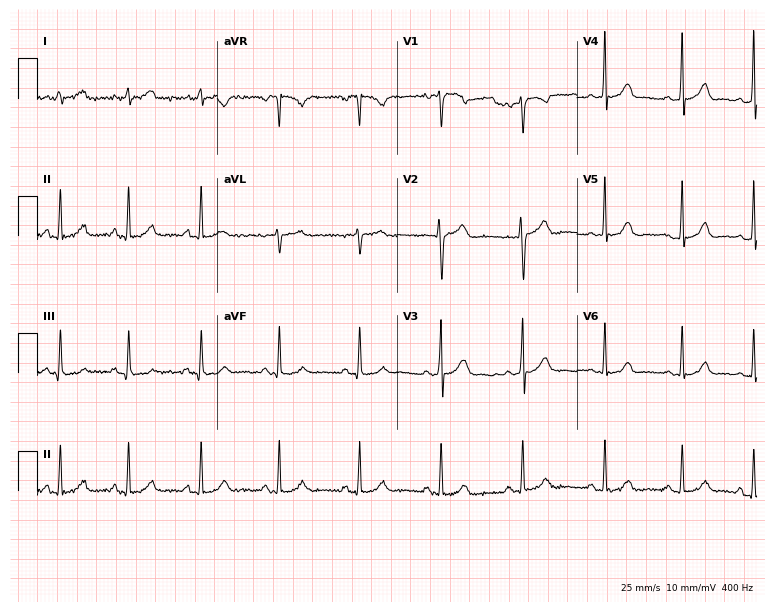
Standard 12-lead ECG recorded from a woman, 30 years old (7.3-second recording at 400 Hz). Read as a normal ECG.